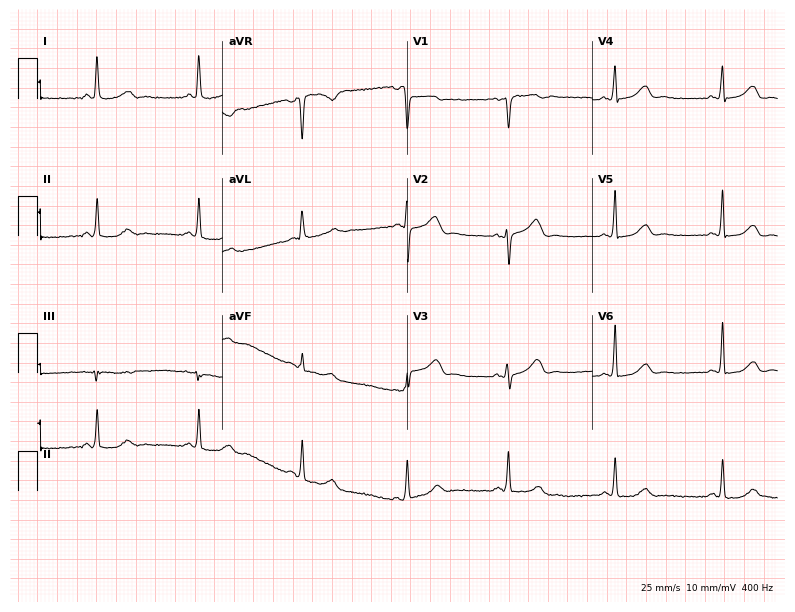
12-lead ECG from a female, 64 years old. Labelled as a normal ECG.